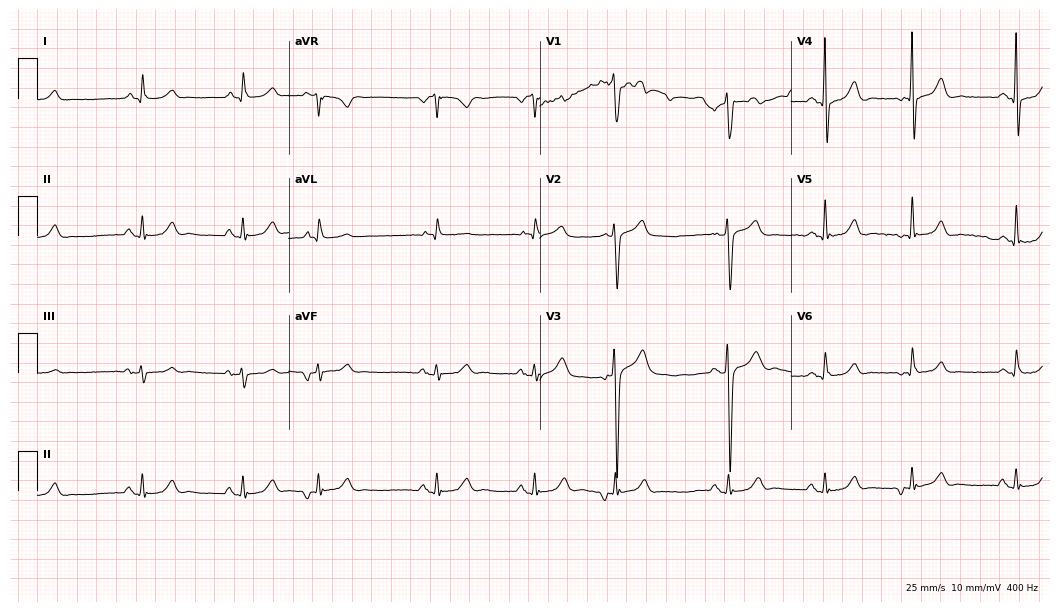
Electrocardiogram, a male patient, 82 years old. Overall reading on record: normal ECG.